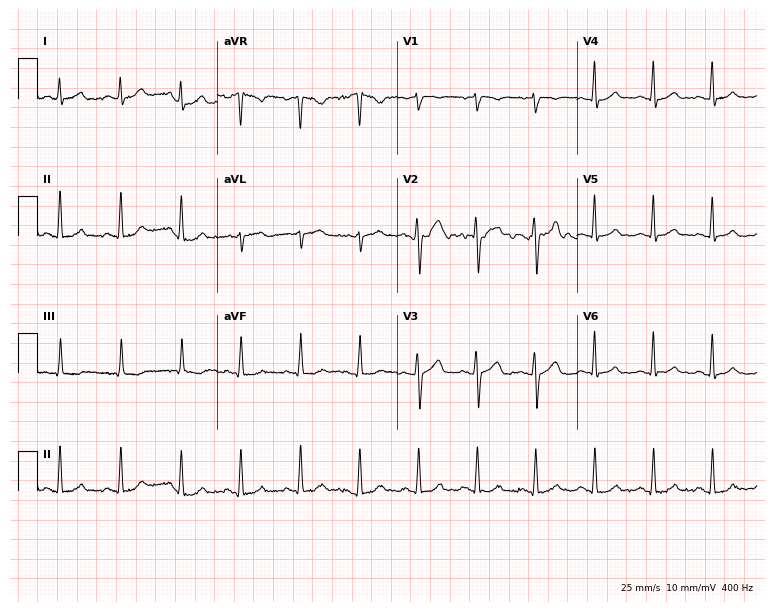
12-lead ECG from a 35-year-old female. Labelled as a normal ECG.